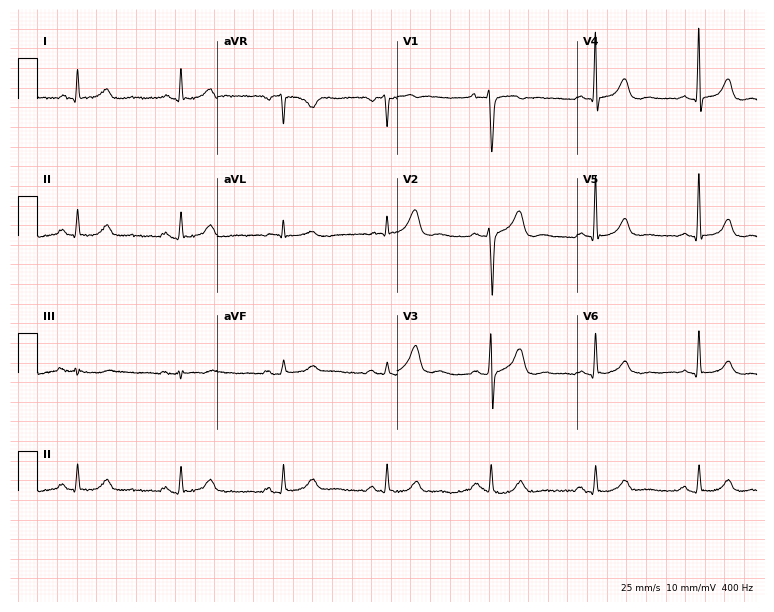
Resting 12-lead electrocardiogram. Patient: a 76-year-old male. None of these six findings is recorded: first-degree AV block, right bundle branch block (RBBB), left bundle branch block (LBBB), sinus bradycardia, atrial fibrillation (AF), sinus tachycardia.